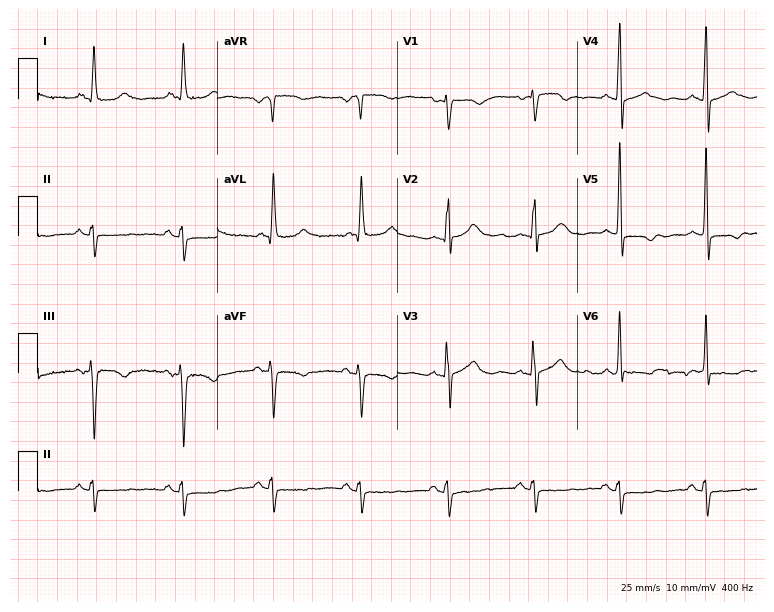
Standard 12-lead ECG recorded from a 75-year-old female patient (7.3-second recording at 400 Hz). None of these six findings is recorded: first-degree AV block, right bundle branch block, left bundle branch block, sinus bradycardia, atrial fibrillation, sinus tachycardia.